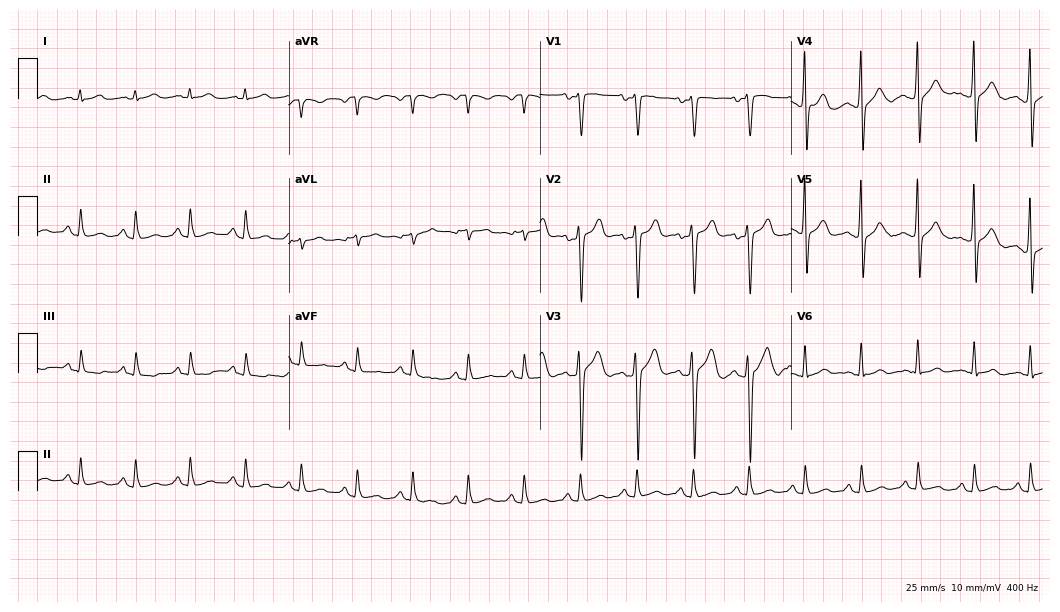
Standard 12-lead ECG recorded from a 42-year-old male (10.2-second recording at 400 Hz). The tracing shows sinus tachycardia (a sinus rate of 100 beats per minute or more).